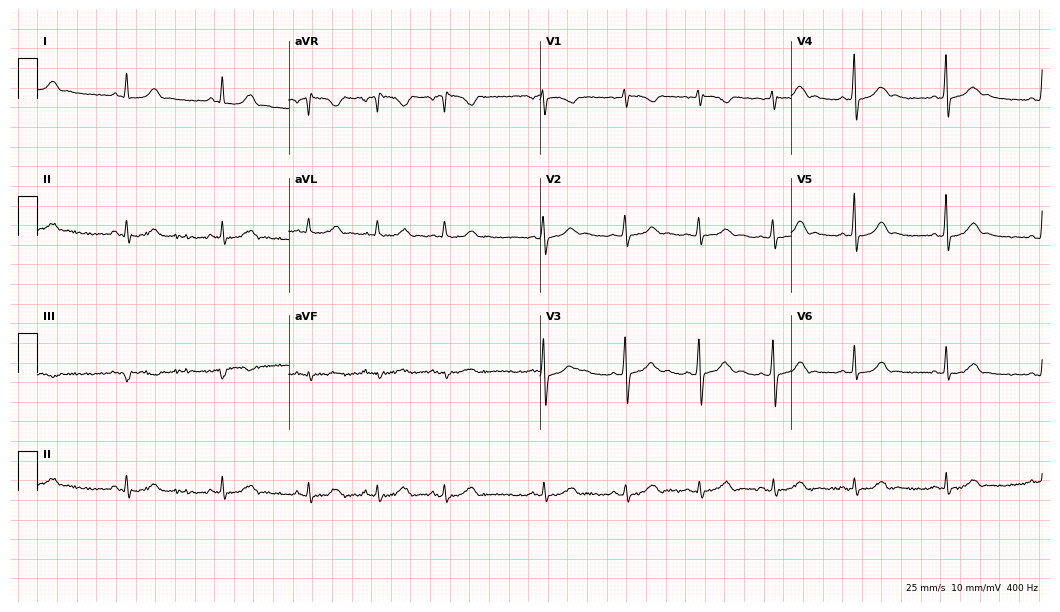
Resting 12-lead electrocardiogram. Patient: a 19-year-old female. Read as a normal ECG.